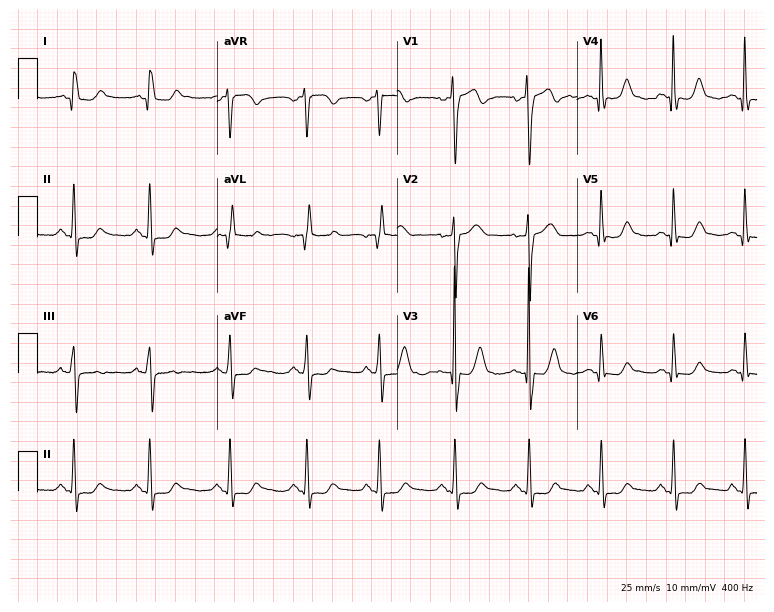
12-lead ECG (7.3-second recording at 400 Hz) from a female patient, 48 years old. Screened for six findings — first-degree AV block, right bundle branch block (RBBB), left bundle branch block (LBBB), sinus bradycardia, atrial fibrillation (AF), sinus tachycardia — none is recorded. Other findings, if any, are not listed.